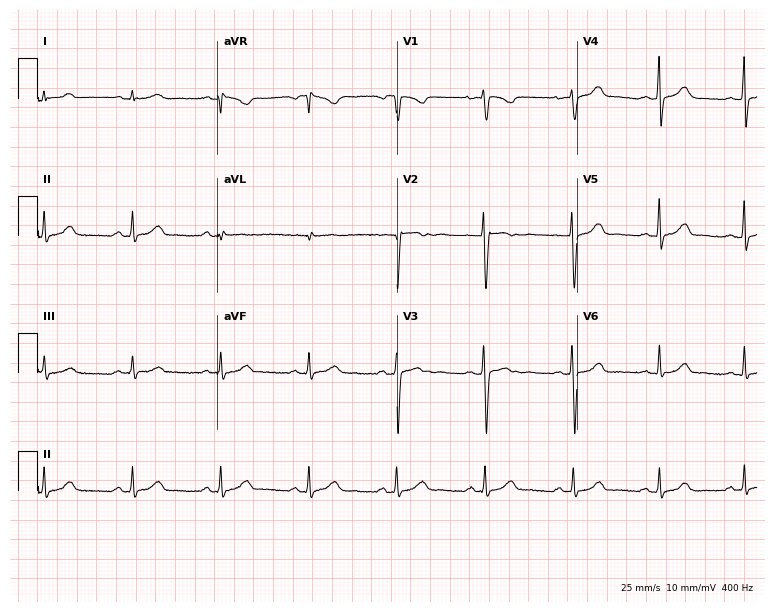
ECG (7.3-second recording at 400 Hz) — a female, 20 years old. Labelled as a normal ECG.